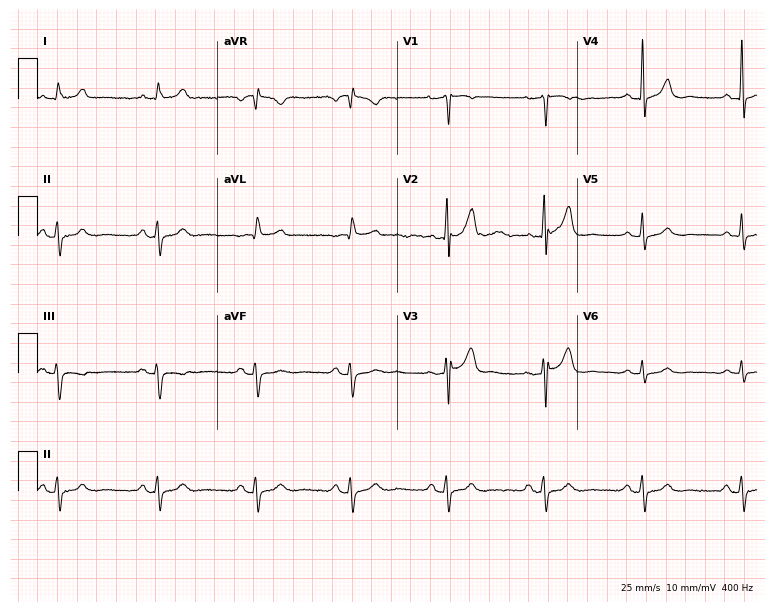
12-lead ECG (7.3-second recording at 400 Hz) from a man, 67 years old. Screened for six findings — first-degree AV block, right bundle branch block, left bundle branch block, sinus bradycardia, atrial fibrillation, sinus tachycardia — none is recorded.